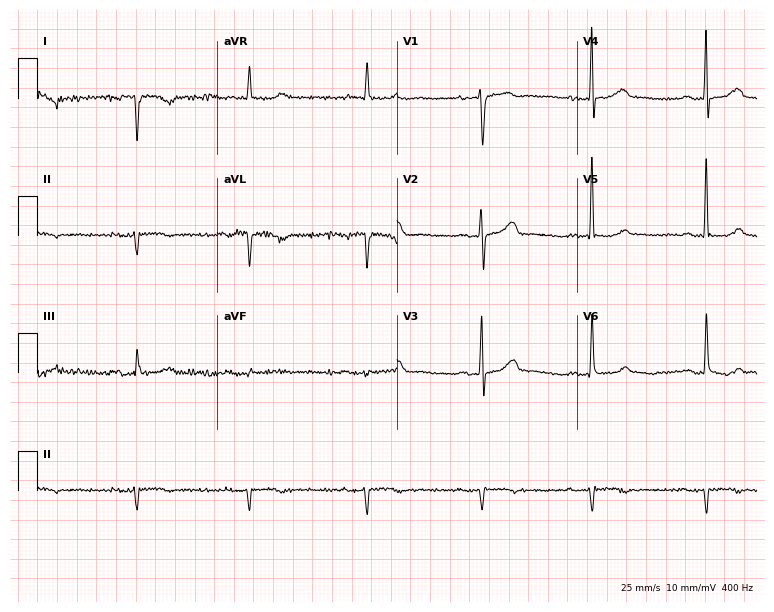
Electrocardiogram (7.3-second recording at 400 Hz), a 63-year-old female patient. Of the six screened findings (first-degree AV block, right bundle branch block, left bundle branch block, sinus bradycardia, atrial fibrillation, sinus tachycardia), none is recorded. Findings outside these six are not listed.